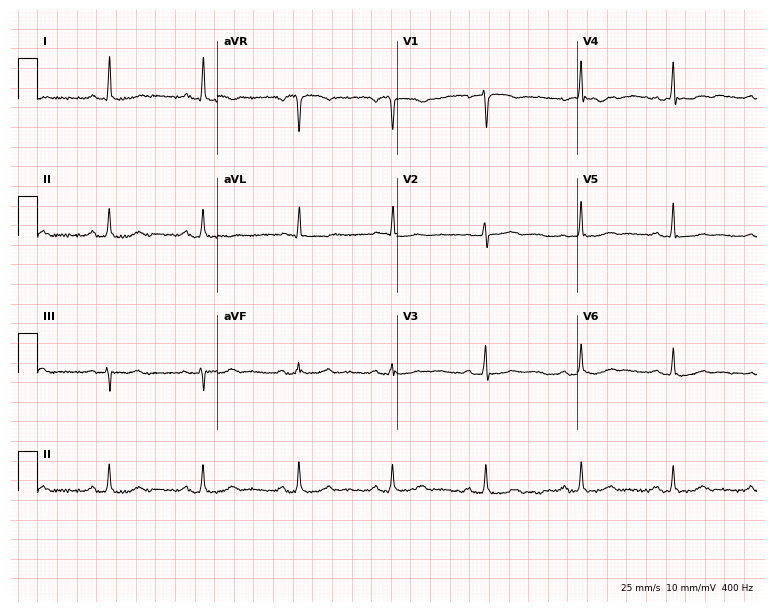
ECG (7.3-second recording at 400 Hz) — a 74-year-old female patient. Screened for six findings — first-degree AV block, right bundle branch block (RBBB), left bundle branch block (LBBB), sinus bradycardia, atrial fibrillation (AF), sinus tachycardia — none is recorded.